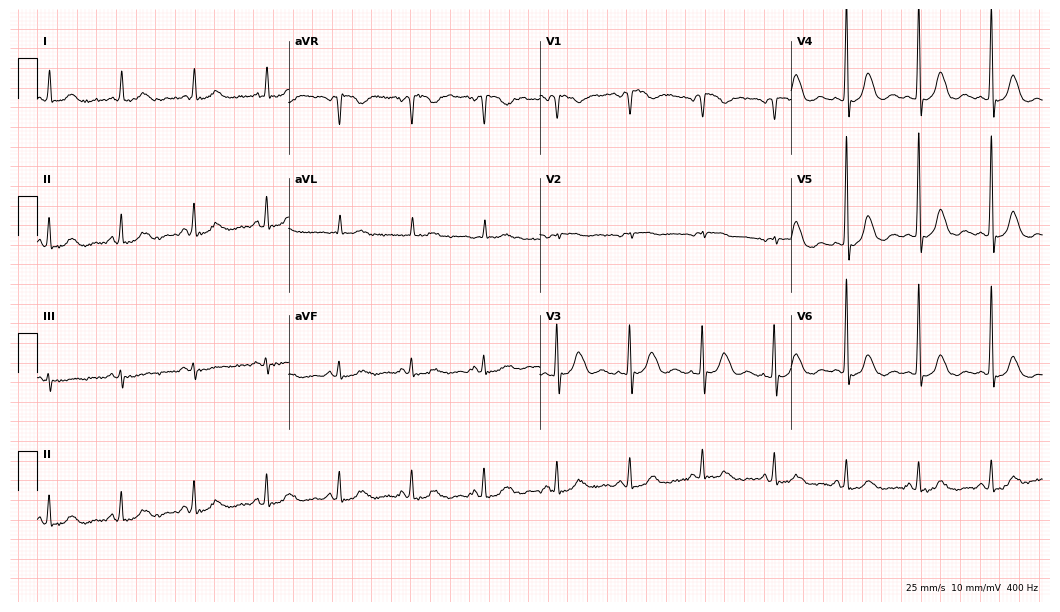
Standard 12-lead ECG recorded from a 72-year-old female. None of these six findings is recorded: first-degree AV block, right bundle branch block (RBBB), left bundle branch block (LBBB), sinus bradycardia, atrial fibrillation (AF), sinus tachycardia. Findings outside these six are not listed.